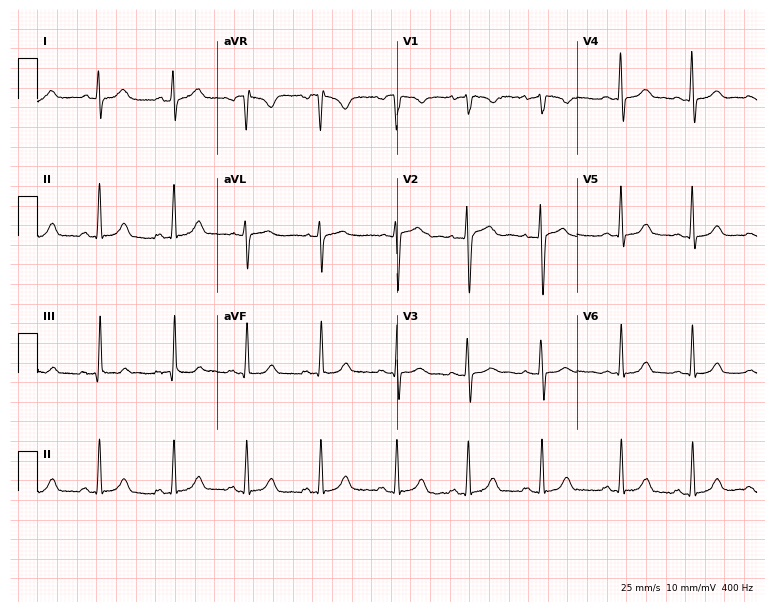
ECG — a female, 26 years old. Labelled as a normal ECG.